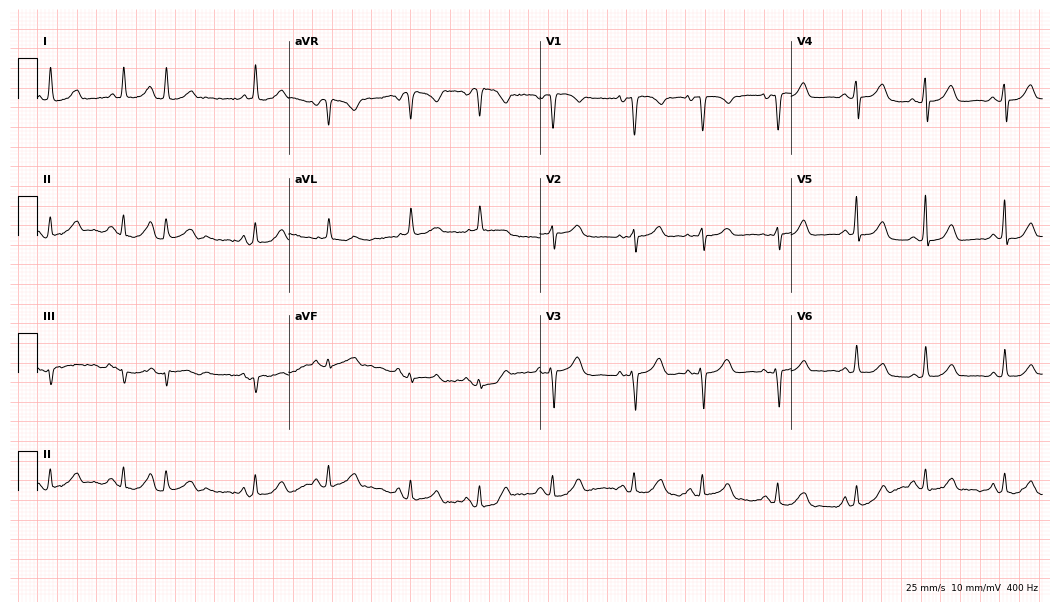
Standard 12-lead ECG recorded from a female, 73 years old. None of these six findings is recorded: first-degree AV block, right bundle branch block (RBBB), left bundle branch block (LBBB), sinus bradycardia, atrial fibrillation (AF), sinus tachycardia.